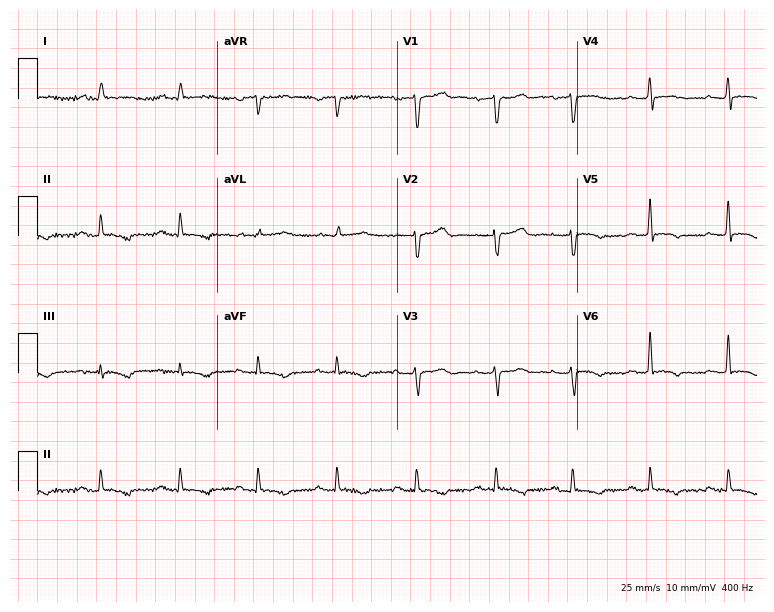
Resting 12-lead electrocardiogram (7.3-second recording at 400 Hz). Patient: a woman, 51 years old. None of these six findings is recorded: first-degree AV block, right bundle branch block, left bundle branch block, sinus bradycardia, atrial fibrillation, sinus tachycardia. Only these six findings were labelled.